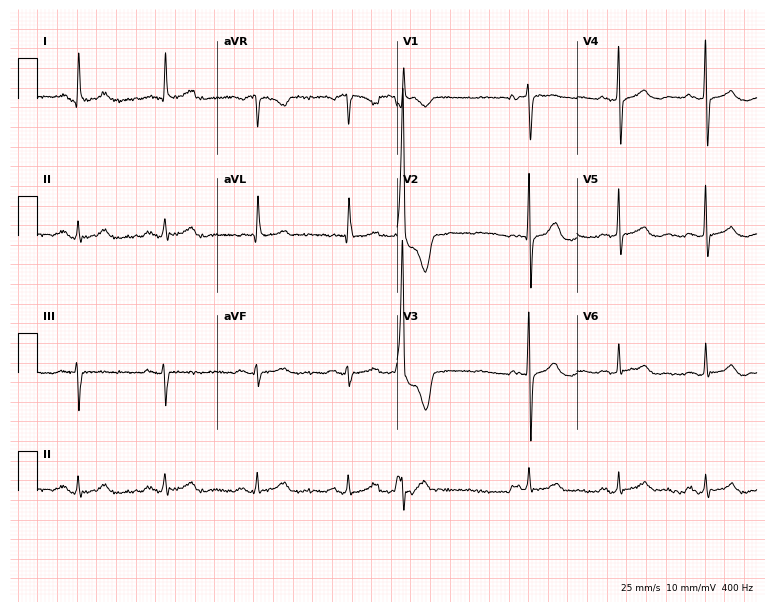
Resting 12-lead electrocardiogram. Patient: an 83-year-old female. None of these six findings is recorded: first-degree AV block, right bundle branch block, left bundle branch block, sinus bradycardia, atrial fibrillation, sinus tachycardia.